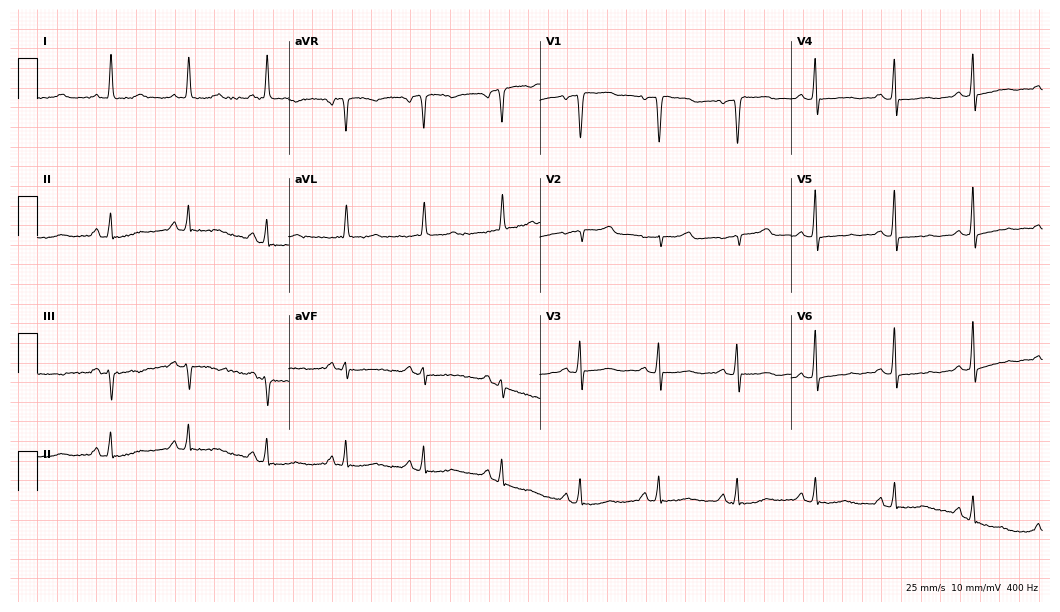
ECG (10.2-second recording at 400 Hz) — a 79-year-old female patient. Labelled as a normal ECG.